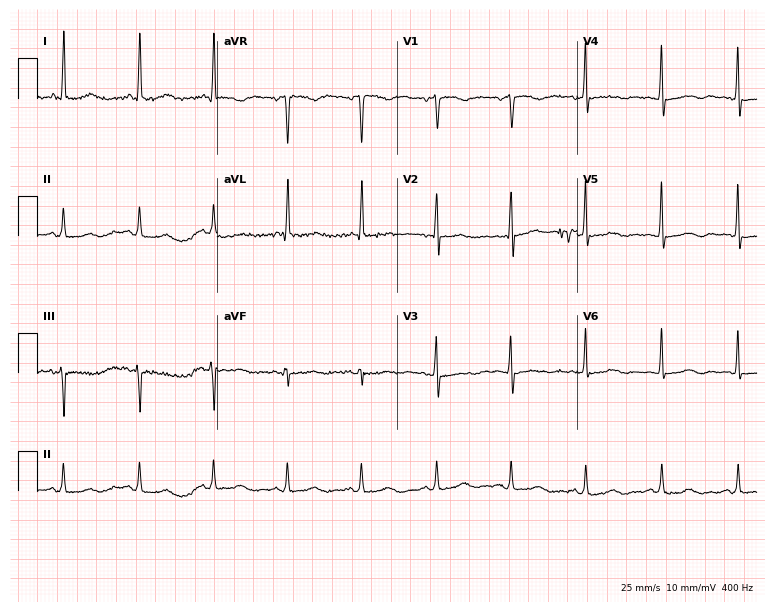
12-lead ECG from a 73-year-old female patient. No first-degree AV block, right bundle branch block, left bundle branch block, sinus bradycardia, atrial fibrillation or sinus tachycardia recorded for this tracing.